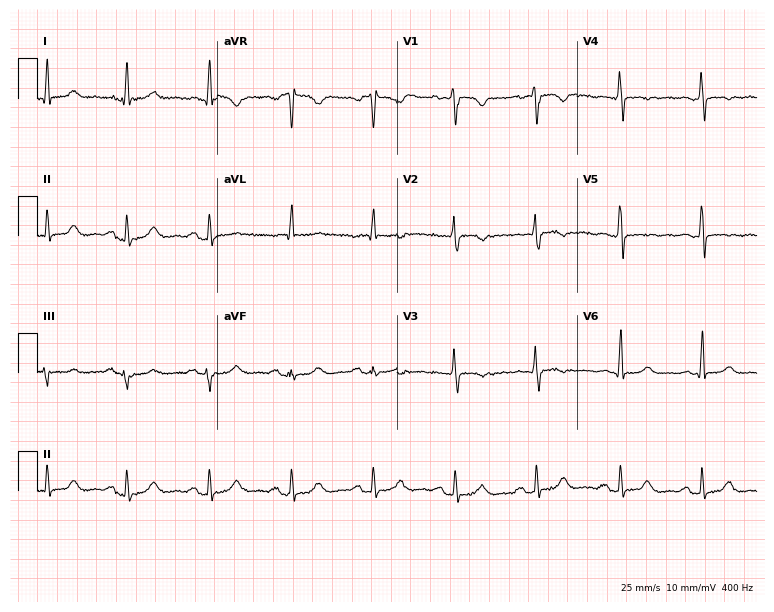
Electrocardiogram (7.3-second recording at 400 Hz), a woman, 57 years old. Overall reading on record: normal ECG.